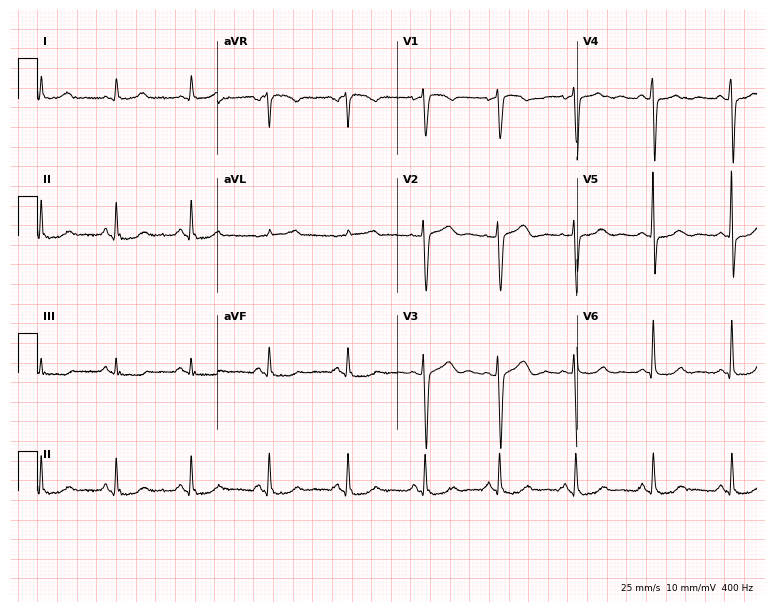
12-lead ECG from a 54-year-old female. Recorded interpretation: within normal limits.